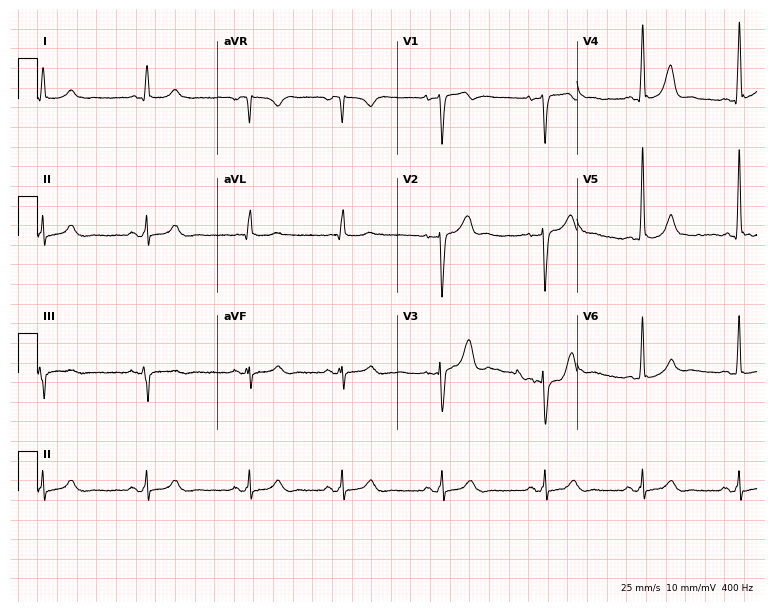
Standard 12-lead ECG recorded from a male patient, 80 years old. Read as a normal ECG.